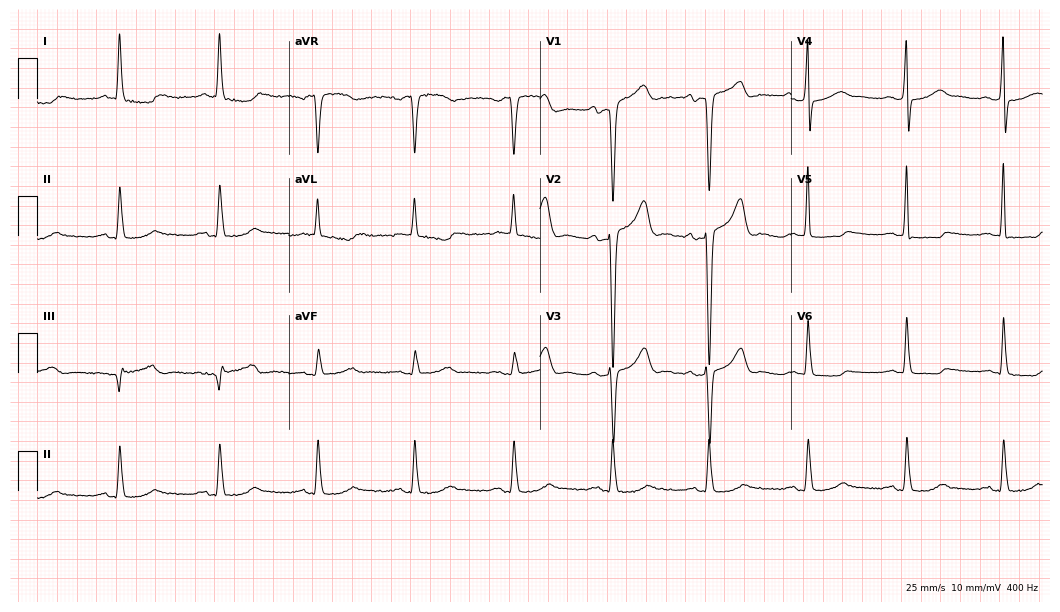
Standard 12-lead ECG recorded from a 59-year-old male. None of these six findings is recorded: first-degree AV block, right bundle branch block (RBBB), left bundle branch block (LBBB), sinus bradycardia, atrial fibrillation (AF), sinus tachycardia.